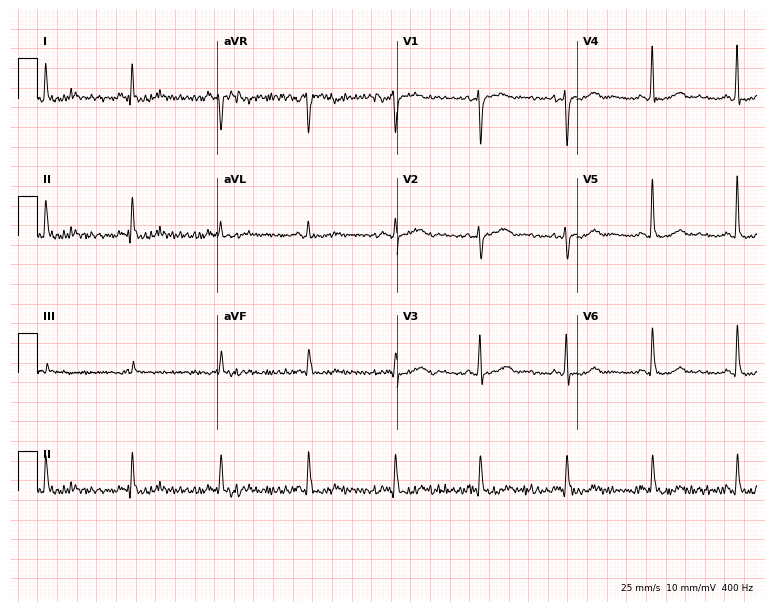
Electrocardiogram (7.3-second recording at 400 Hz), a 65-year-old female patient. Overall reading on record: normal ECG.